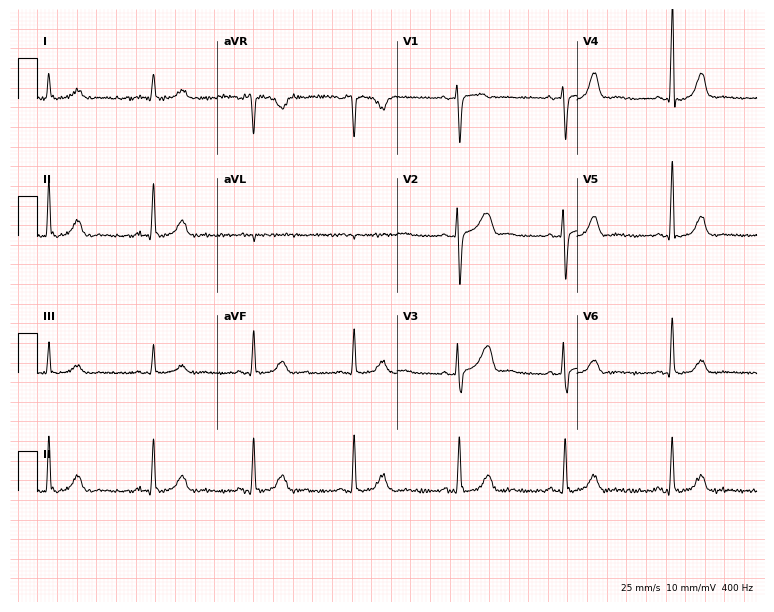
12-lead ECG from a 46-year-old female. Labelled as a normal ECG.